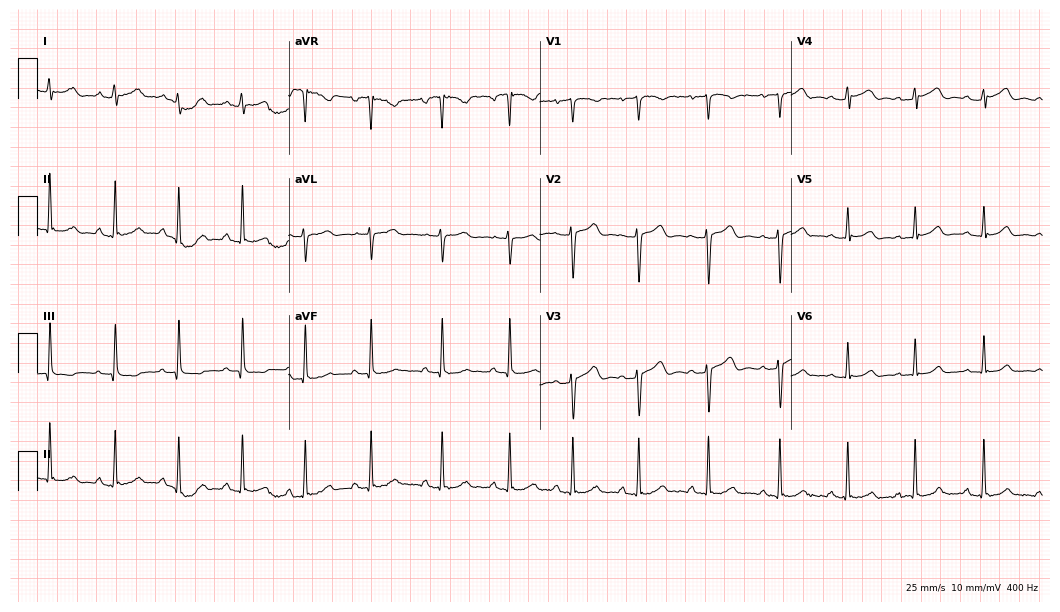
Electrocardiogram (10.2-second recording at 400 Hz), a 19-year-old female. Of the six screened findings (first-degree AV block, right bundle branch block, left bundle branch block, sinus bradycardia, atrial fibrillation, sinus tachycardia), none is recorded. Findings outside these six are not listed.